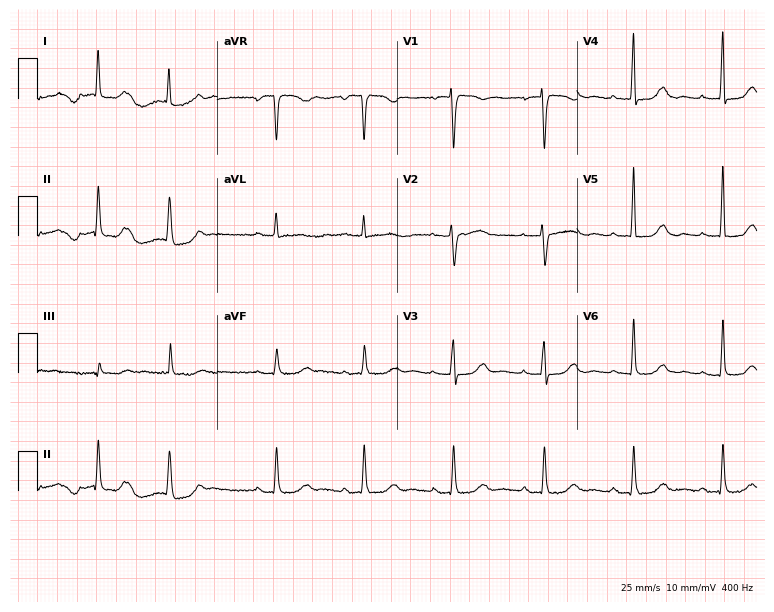
12-lead ECG from a 79-year-old woman. Recorded interpretation: within normal limits.